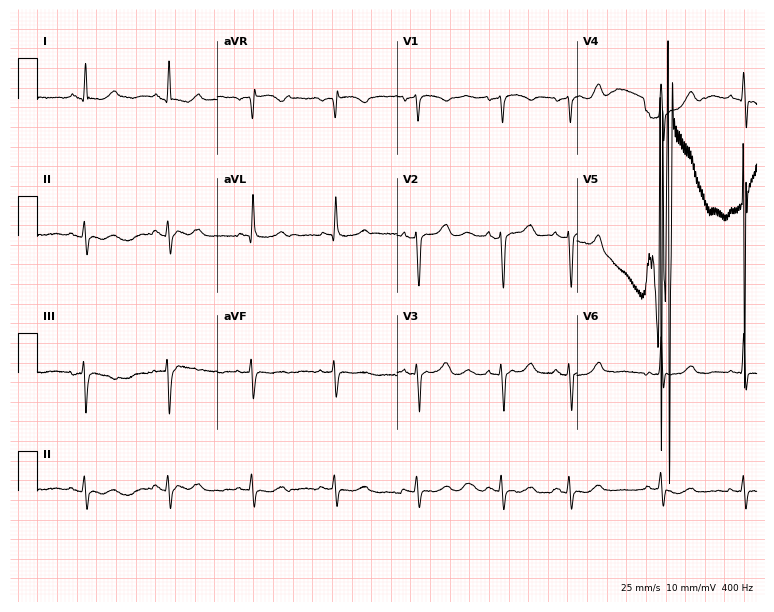
Standard 12-lead ECG recorded from a female, 77 years old (7.3-second recording at 400 Hz). None of these six findings is recorded: first-degree AV block, right bundle branch block, left bundle branch block, sinus bradycardia, atrial fibrillation, sinus tachycardia.